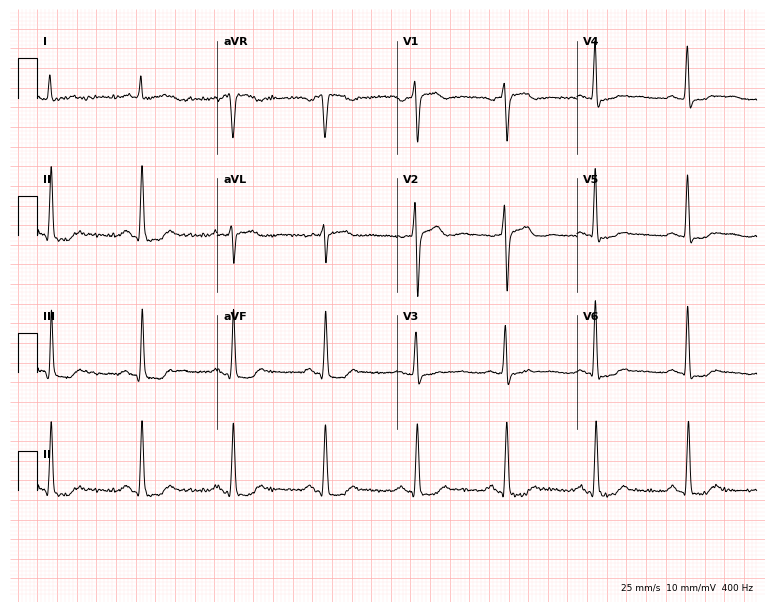
Resting 12-lead electrocardiogram. Patient: a 52-year-old woman. None of these six findings is recorded: first-degree AV block, right bundle branch block (RBBB), left bundle branch block (LBBB), sinus bradycardia, atrial fibrillation (AF), sinus tachycardia. Only these six findings were labelled.